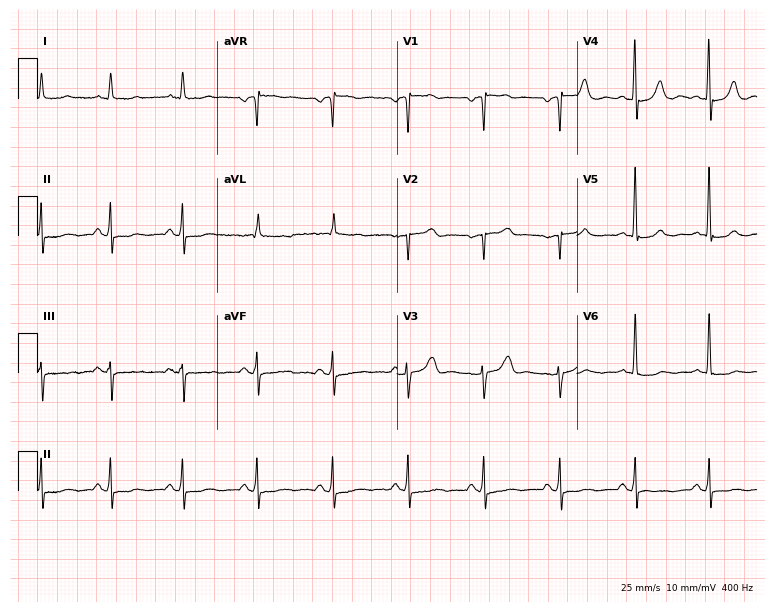
Electrocardiogram, a 68-year-old man. Of the six screened findings (first-degree AV block, right bundle branch block, left bundle branch block, sinus bradycardia, atrial fibrillation, sinus tachycardia), none is recorded. Other findings, if any, are not listed.